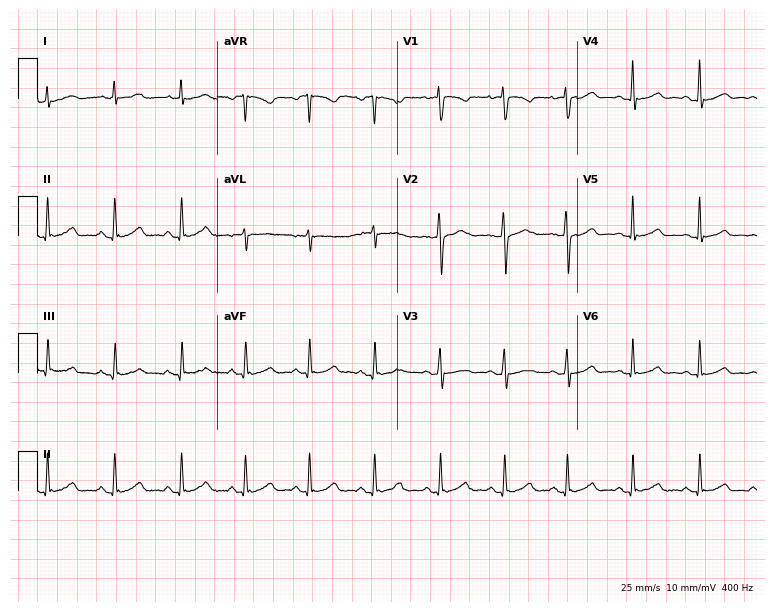
12-lead ECG from a female patient, 36 years old (7.3-second recording at 400 Hz). Recorded interpretation: within normal limits.